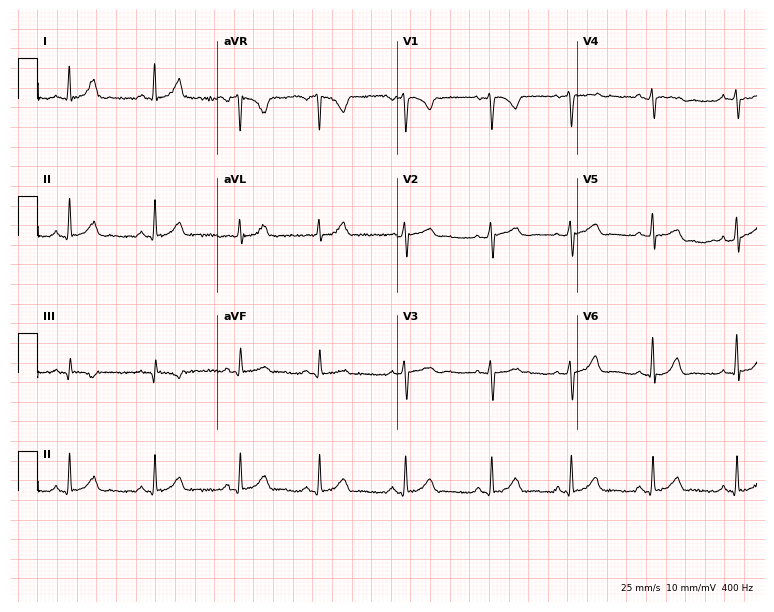
ECG (7.3-second recording at 400 Hz) — a 42-year-old female. Labelled as a normal ECG.